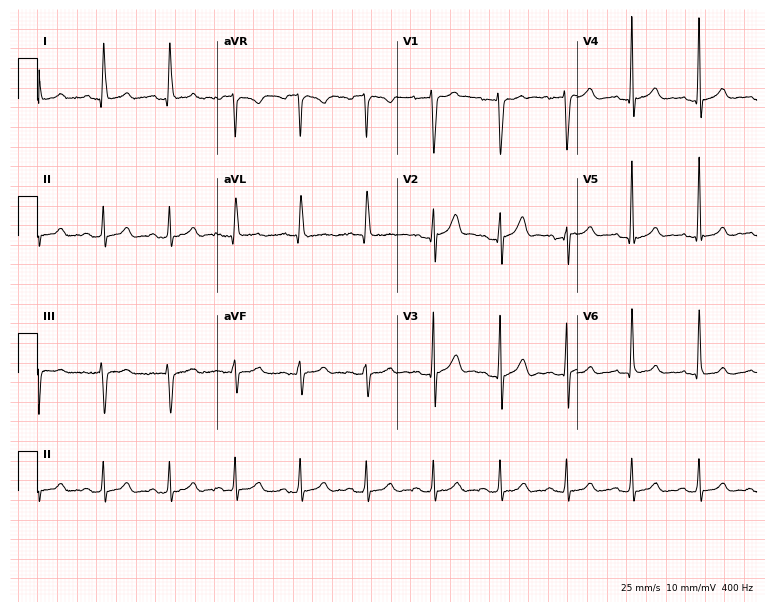
Standard 12-lead ECG recorded from a male, 43 years old (7.3-second recording at 400 Hz). Read as a normal ECG.